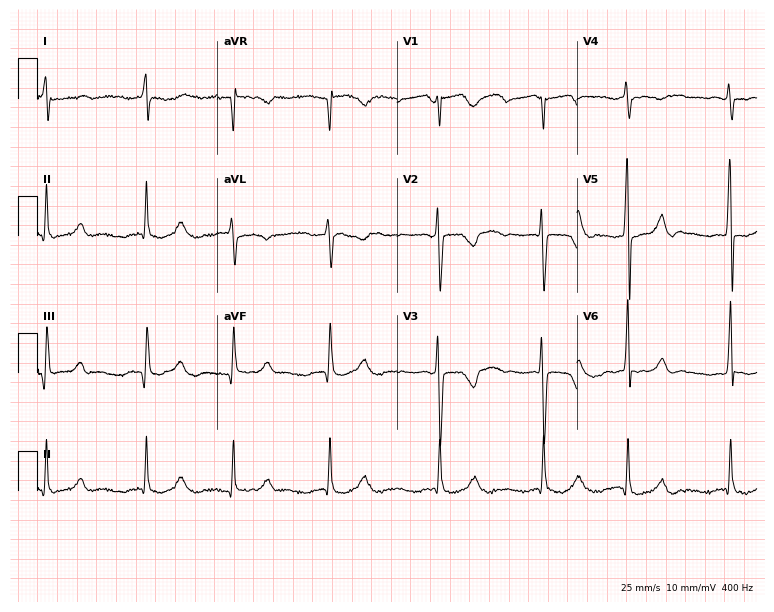
12-lead ECG (7.3-second recording at 400 Hz) from a 31-year-old female patient. Findings include atrial fibrillation (AF).